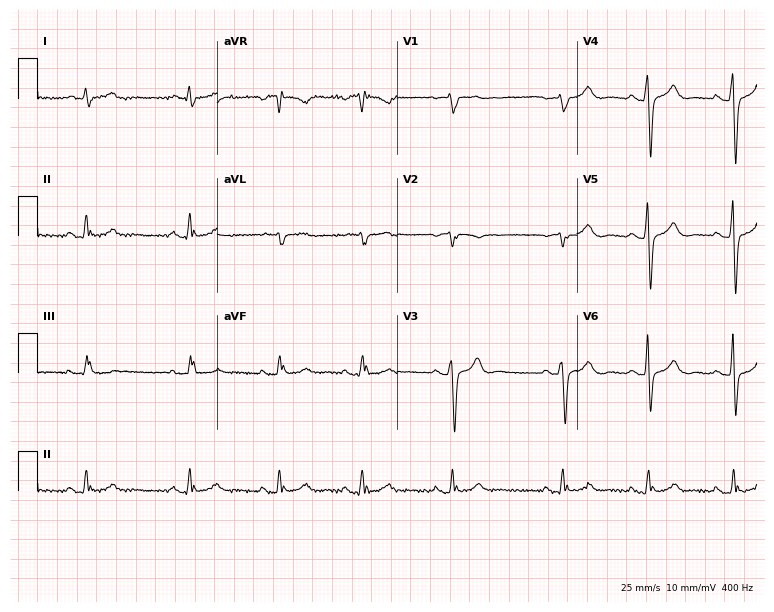
12-lead ECG from a 66-year-old male. Screened for six findings — first-degree AV block, right bundle branch block (RBBB), left bundle branch block (LBBB), sinus bradycardia, atrial fibrillation (AF), sinus tachycardia — none is recorded. Other findings, if any, are not listed.